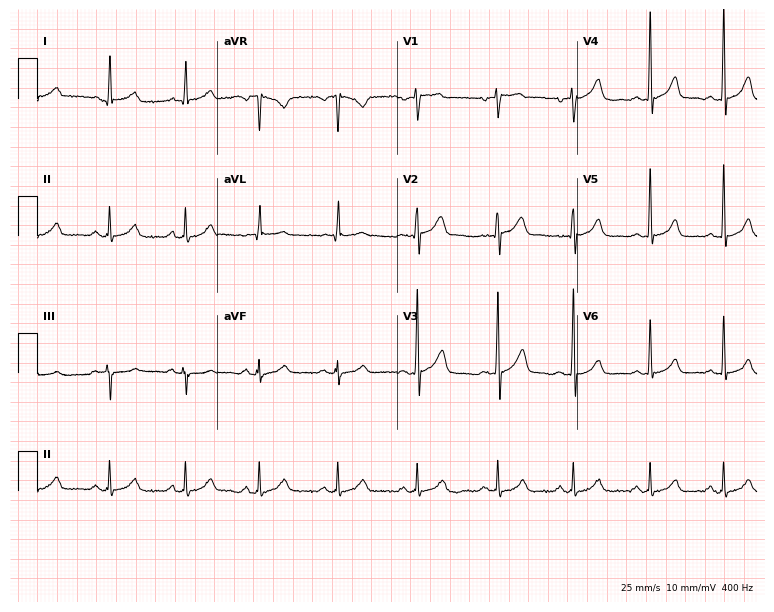
Electrocardiogram, a 44-year-old male patient. Overall reading on record: normal ECG.